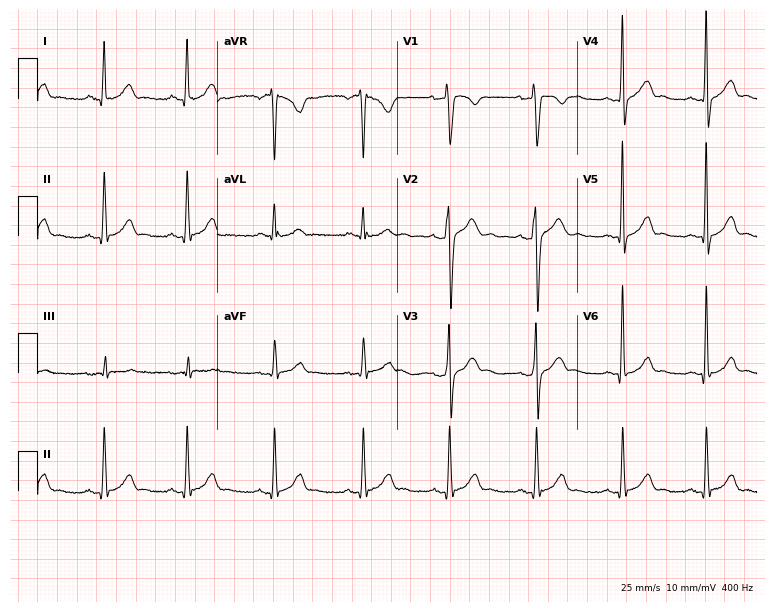
Electrocardiogram, a man, 31 years old. Overall reading on record: normal ECG.